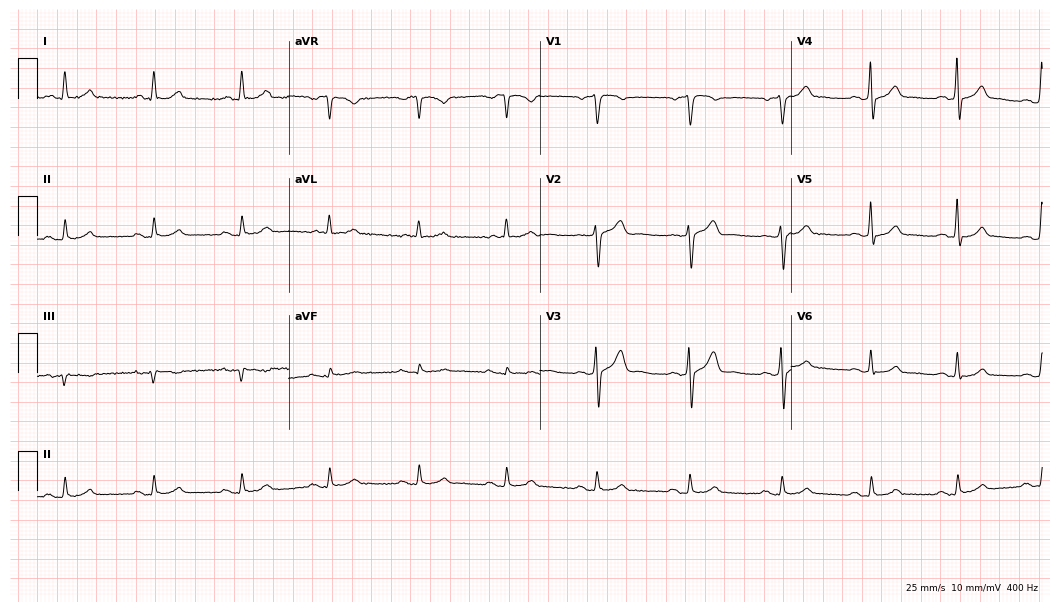
ECG (10.2-second recording at 400 Hz) — a 48-year-old male. Labelled as a normal ECG.